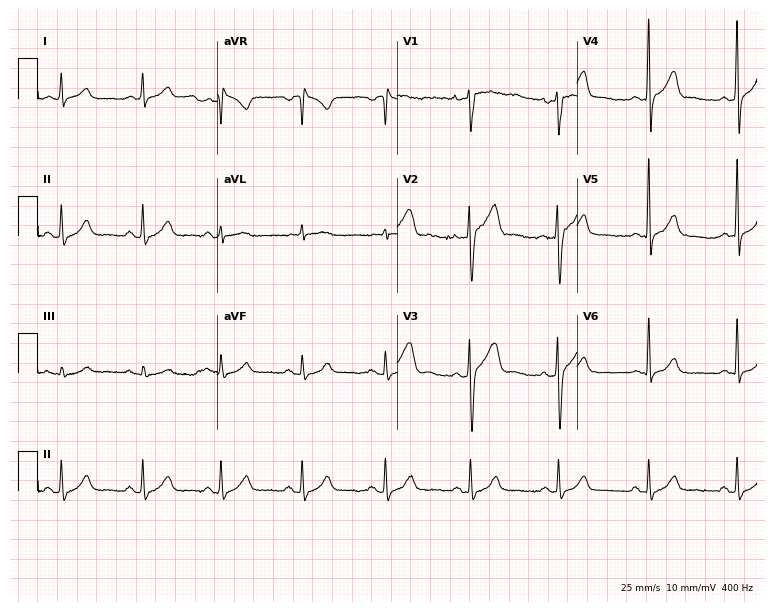
Resting 12-lead electrocardiogram (7.3-second recording at 400 Hz). Patient: a 44-year-old male. Read as a normal ECG.